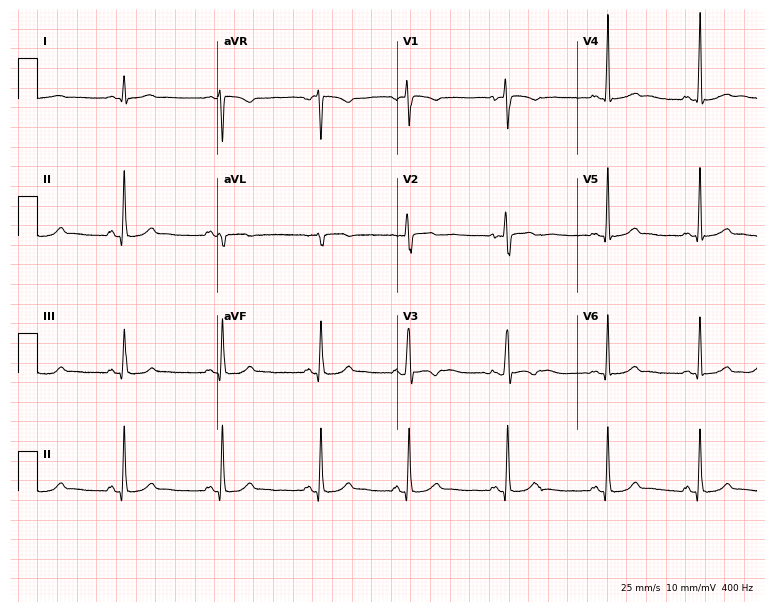
Resting 12-lead electrocardiogram. Patient: a 27-year-old female. Read as a normal ECG.